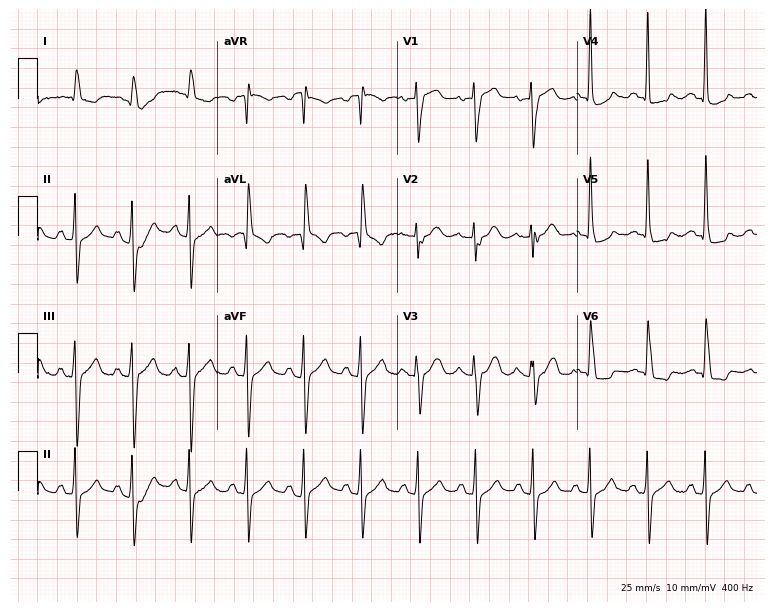
Resting 12-lead electrocardiogram (7.3-second recording at 400 Hz). Patient: a female, 84 years old. None of these six findings is recorded: first-degree AV block, right bundle branch block, left bundle branch block, sinus bradycardia, atrial fibrillation, sinus tachycardia.